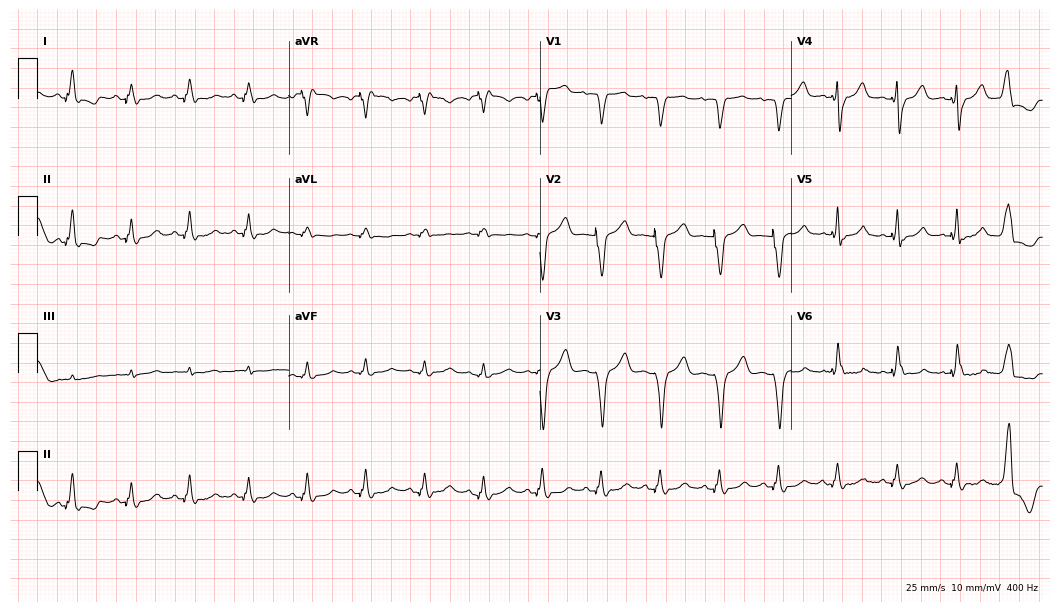
12-lead ECG from an 81-year-old female. Shows left bundle branch block.